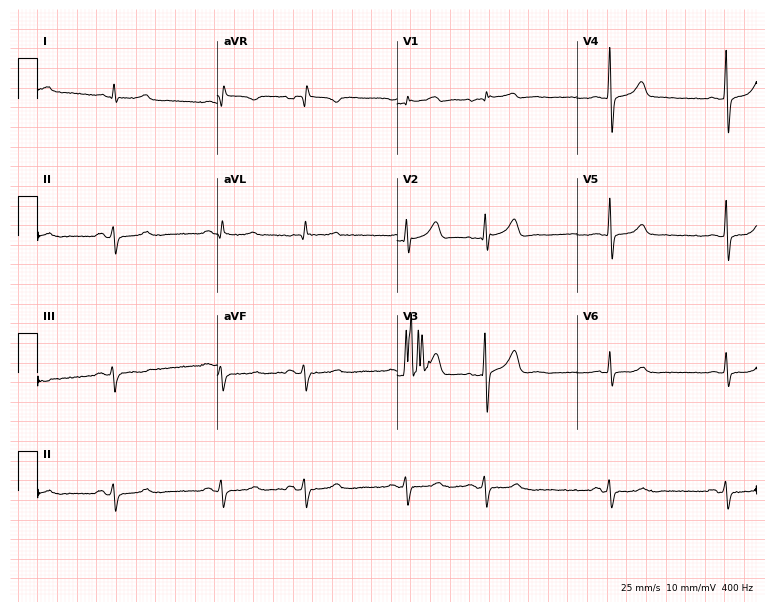
Standard 12-lead ECG recorded from a male patient, 55 years old. None of these six findings is recorded: first-degree AV block, right bundle branch block, left bundle branch block, sinus bradycardia, atrial fibrillation, sinus tachycardia. Findings outside these six are not listed.